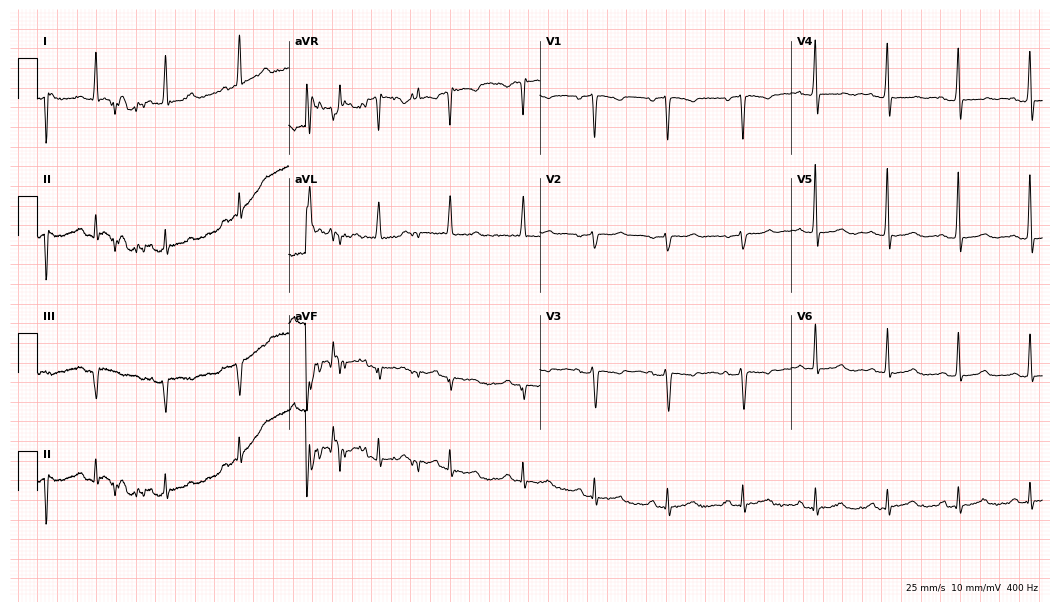
12-lead ECG from a 66-year-old female (10.2-second recording at 400 Hz). No first-degree AV block, right bundle branch block, left bundle branch block, sinus bradycardia, atrial fibrillation or sinus tachycardia recorded for this tracing.